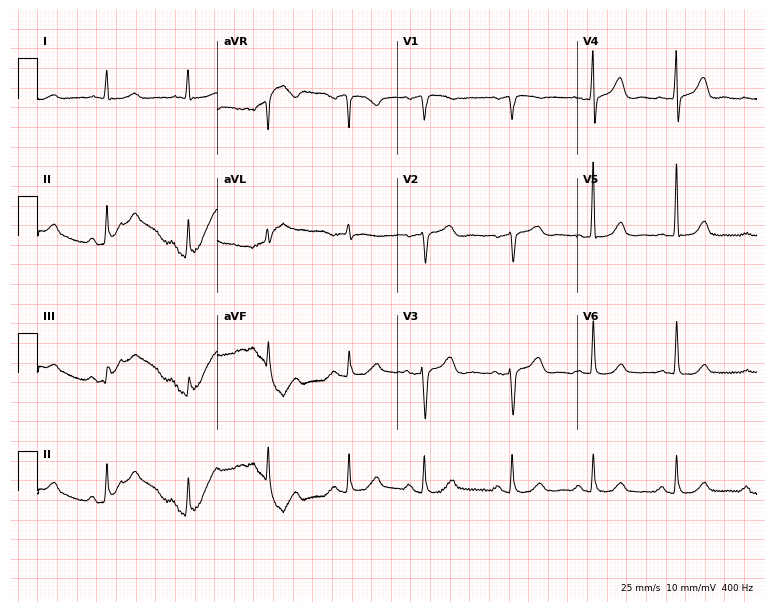
Electrocardiogram (7.3-second recording at 400 Hz), an 85-year-old woman. Of the six screened findings (first-degree AV block, right bundle branch block (RBBB), left bundle branch block (LBBB), sinus bradycardia, atrial fibrillation (AF), sinus tachycardia), none is recorded.